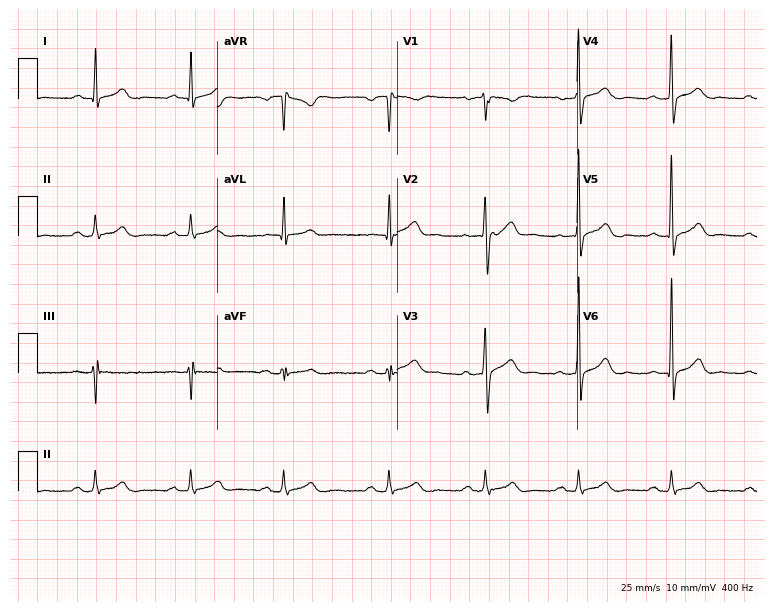
Standard 12-lead ECG recorded from a male patient, 37 years old. Read as a normal ECG.